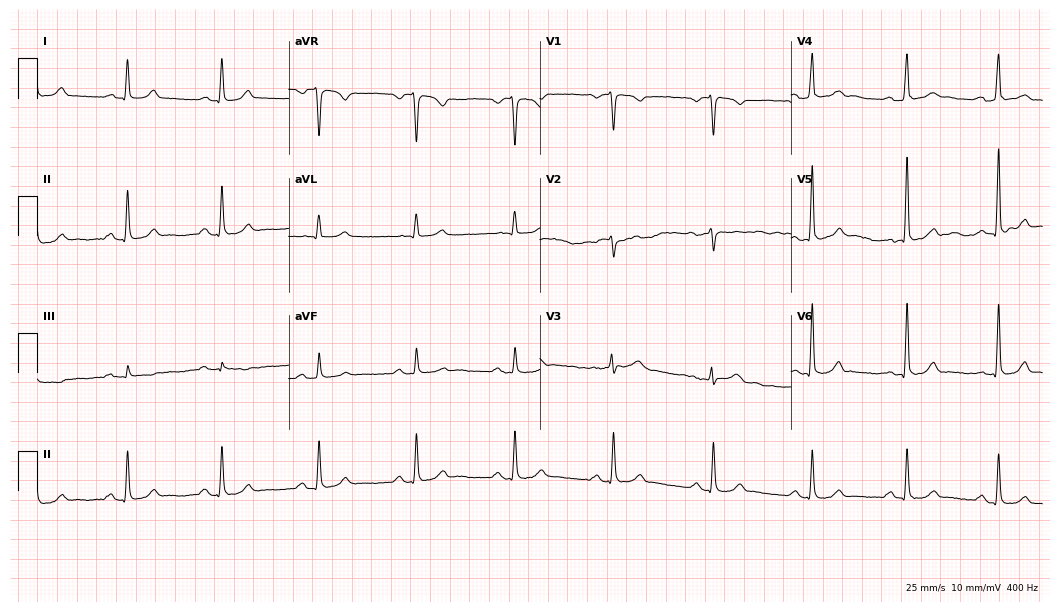
Standard 12-lead ECG recorded from a 54-year-old man. Read as a normal ECG.